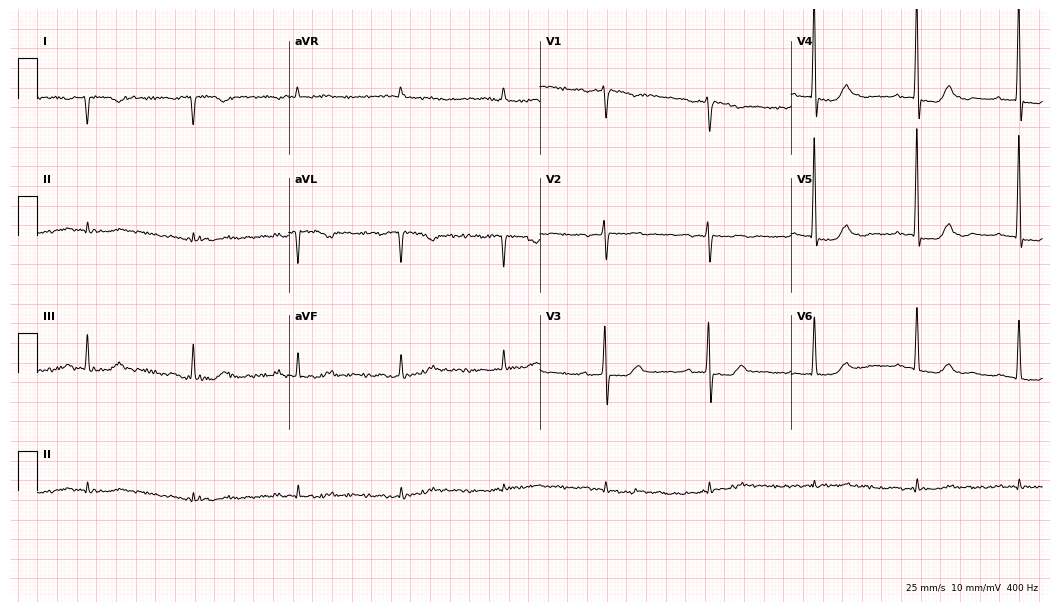
ECG (10.2-second recording at 400 Hz) — an 84-year-old woman. Screened for six findings — first-degree AV block, right bundle branch block, left bundle branch block, sinus bradycardia, atrial fibrillation, sinus tachycardia — none is recorded. Only these six findings were labelled.